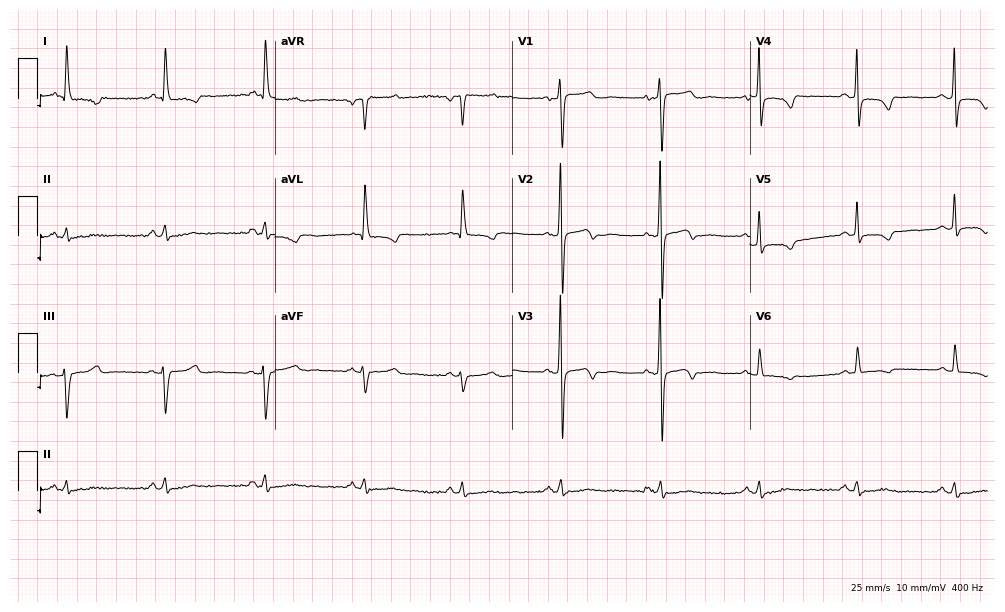
12-lead ECG (9.7-second recording at 400 Hz) from a woman, 68 years old. Findings include first-degree AV block.